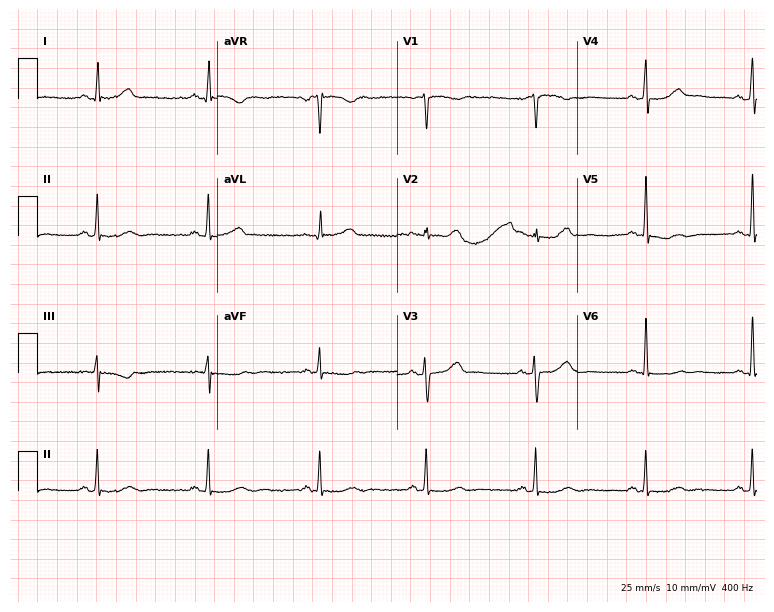
Standard 12-lead ECG recorded from a 59-year-old female patient. None of these six findings is recorded: first-degree AV block, right bundle branch block, left bundle branch block, sinus bradycardia, atrial fibrillation, sinus tachycardia.